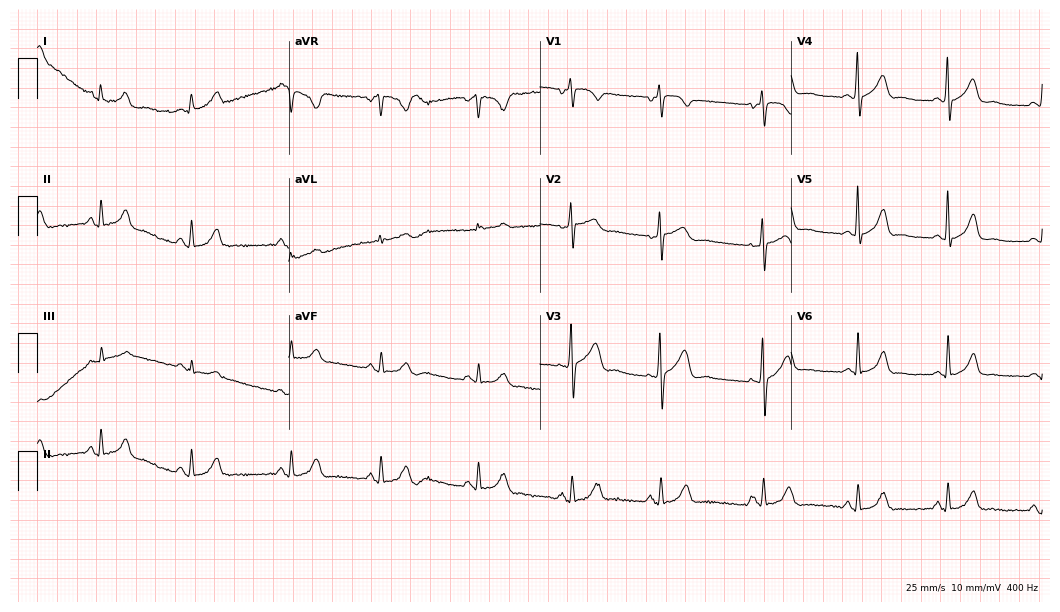
Standard 12-lead ECG recorded from a female patient, 40 years old (10.2-second recording at 400 Hz). Read as a normal ECG.